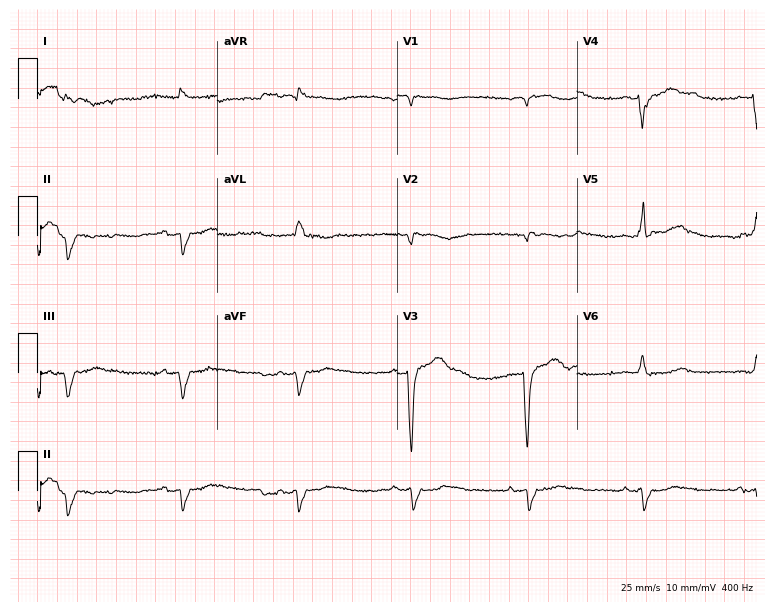
Standard 12-lead ECG recorded from a 67-year-old male. None of these six findings is recorded: first-degree AV block, right bundle branch block, left bundle branch block, sinus bradycardia, atrial fibrillation, sinus tachycardia.